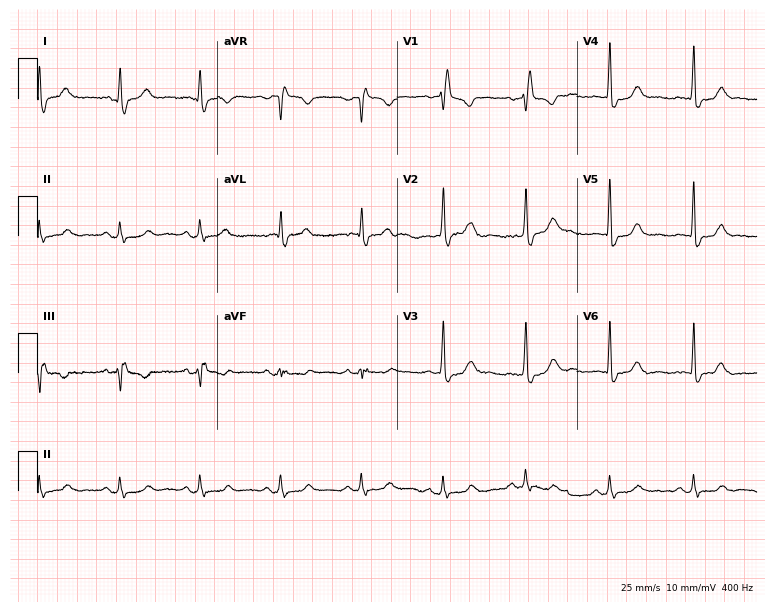
12-lead ECG from a female, 50 years old. Findings include right bundle branch block.